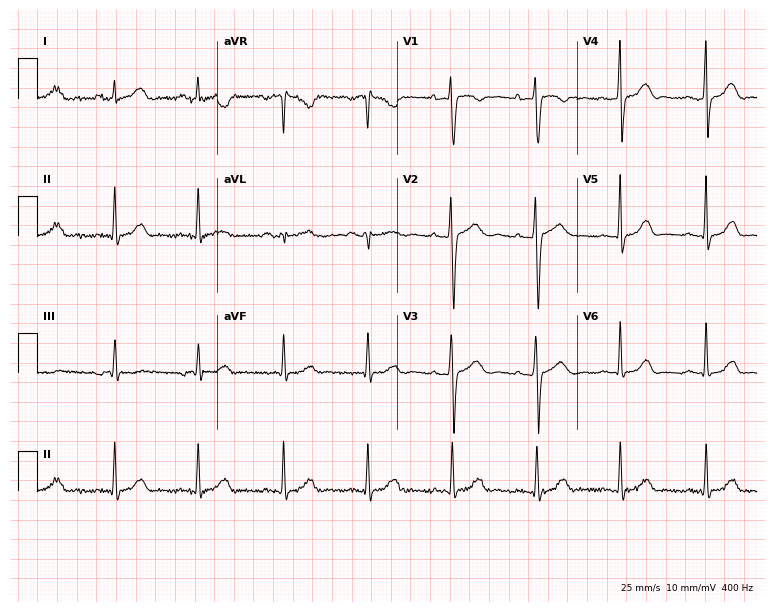
Resting 12-lead electrocardiogram. Patient: a female, 39 years old. None of these six findings is recorded: first-degree AV block, right bundle branch block, left bundle branch block, sinus bradycardia, atrial fibrillation, sinus tachycardia.